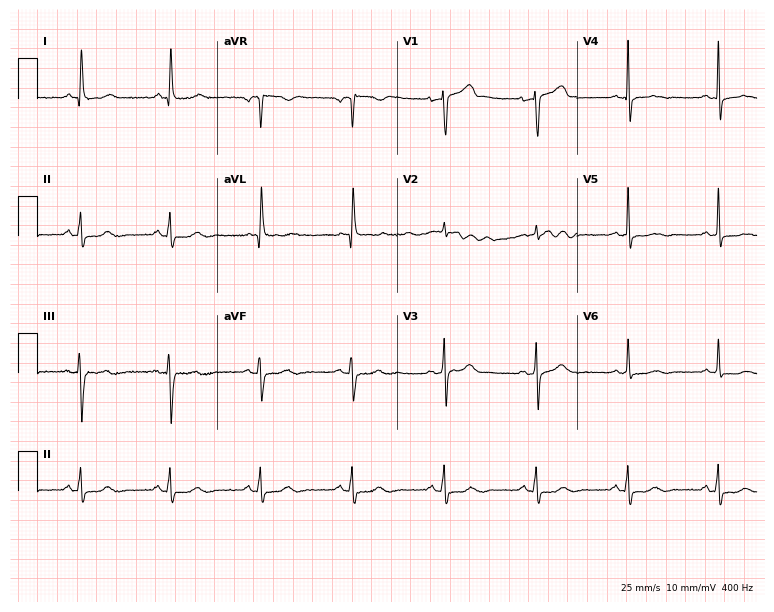
Resting 12-lead electrocardiogram (7.3-second recording at 400 Hz). Patient: a man, 65 years old. Read as a normal ECG.